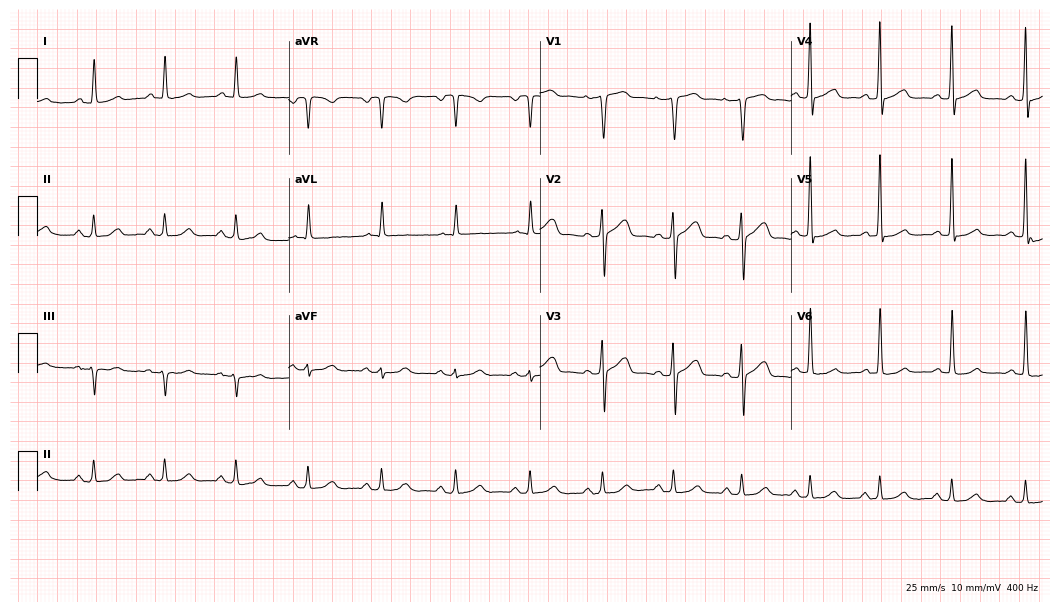
ECG — a man, 64 years old. Labelled as a normal ECG.